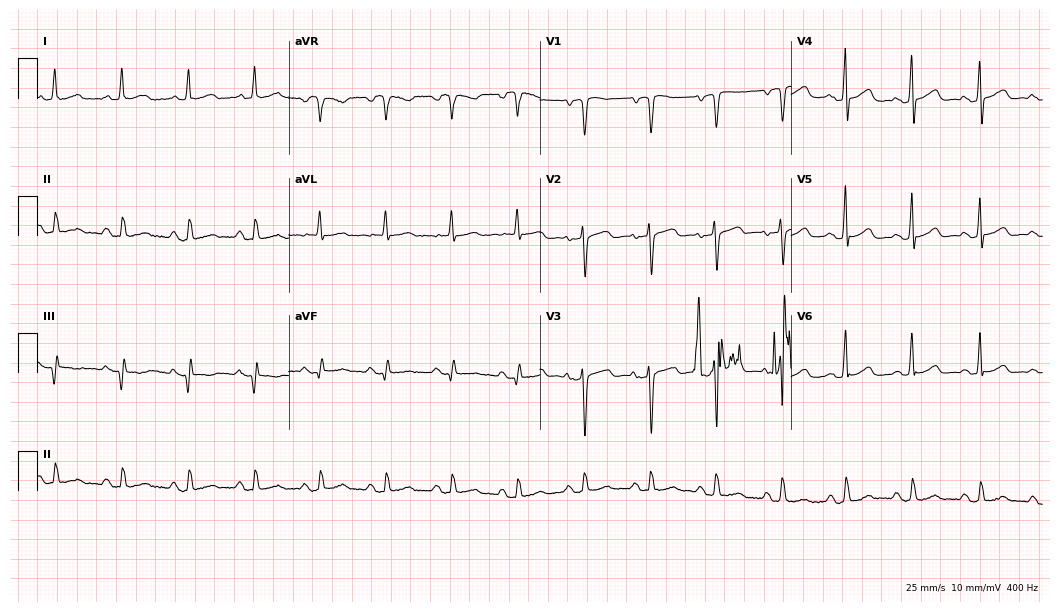
Resting 12-lead electrocardiogram (10.2-second recording at 400 Hz). Patient: a female, 67 years old. Read as a normal ECG.